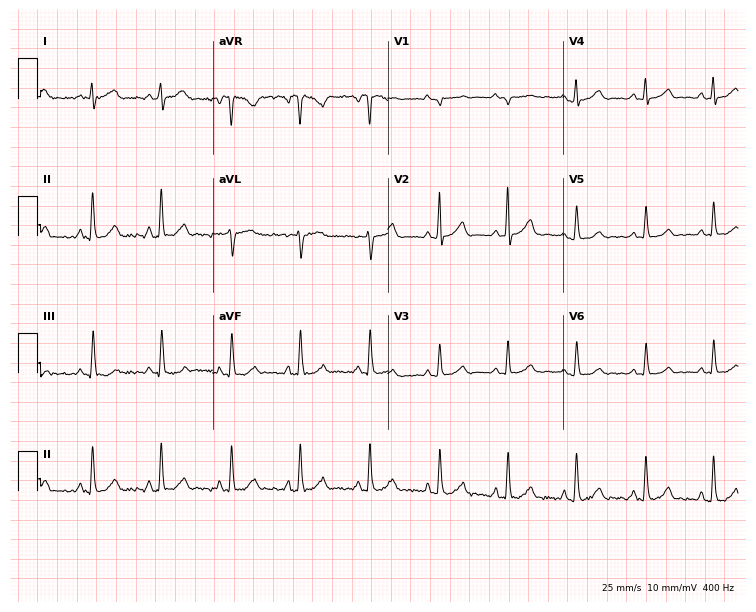
Standard 12-lead ECG recorded from a 33-year-old female. None of these six findings is recorded: first-degree AV block, right bundle branch block, left bundle branch block, sinus bradycardia, atrial fibrillation, sinus tachycardia. Other findings, if any, are not listed.